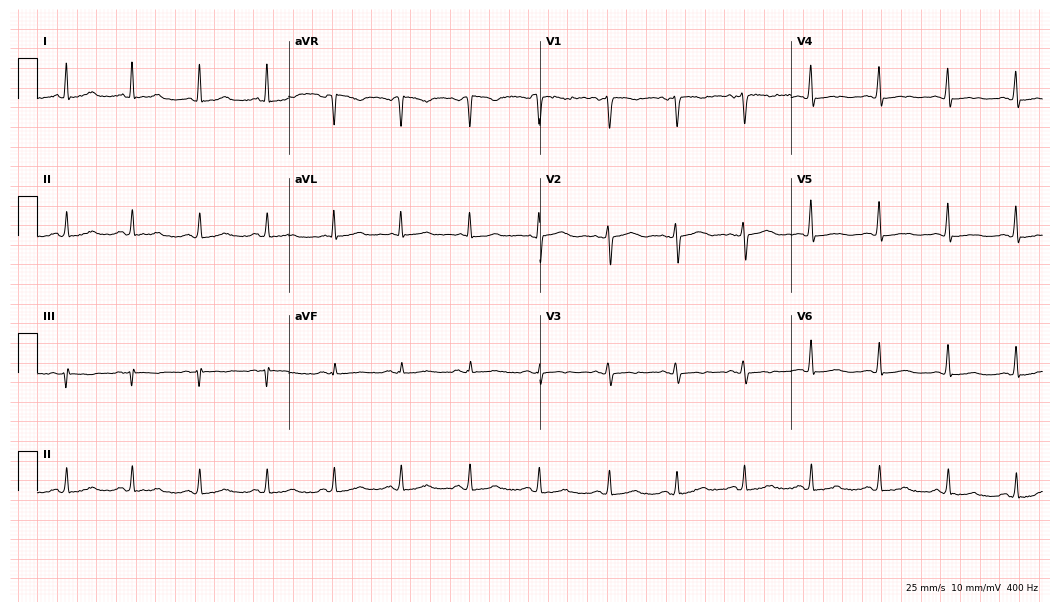
Standard 12-lead ECG recorded from a female patient, 51 years old (10.2-second recording at 400 Hz). None of these six findings is recorded: first-degree AV block, right bundle branch block (RBBB), left bundle branch block (LBBB), sinus bradycardia, atrial fibrillation (AF), sinus tachycardia.